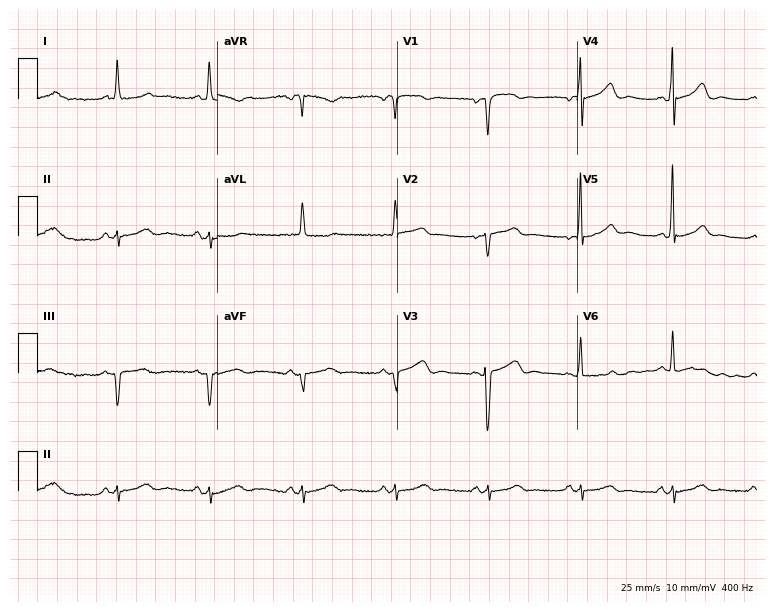
12-lead ECG from an 87-year-old female. No first-degree AV block, right bundle branch block (RBBB), left bundle branch block (LBBB), sinus bradycardia, atrial fibrillation (AF) or sinus tachycardia recorded for this tracing. Findings outside these six are not listed.